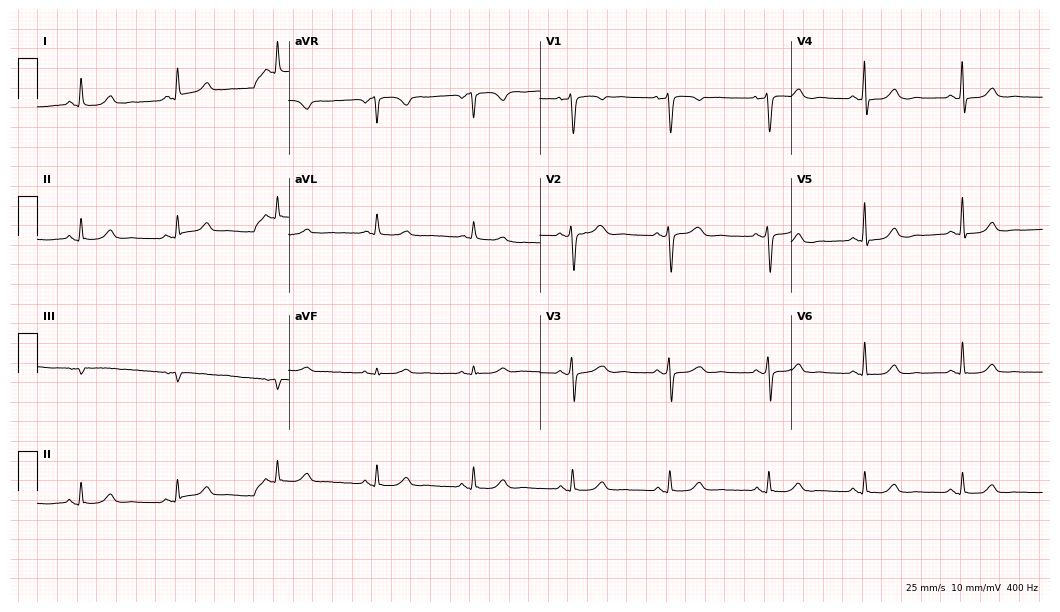
Electrocardiogram, a 60-year-old female patient. Overall reading on record: normal ECG.